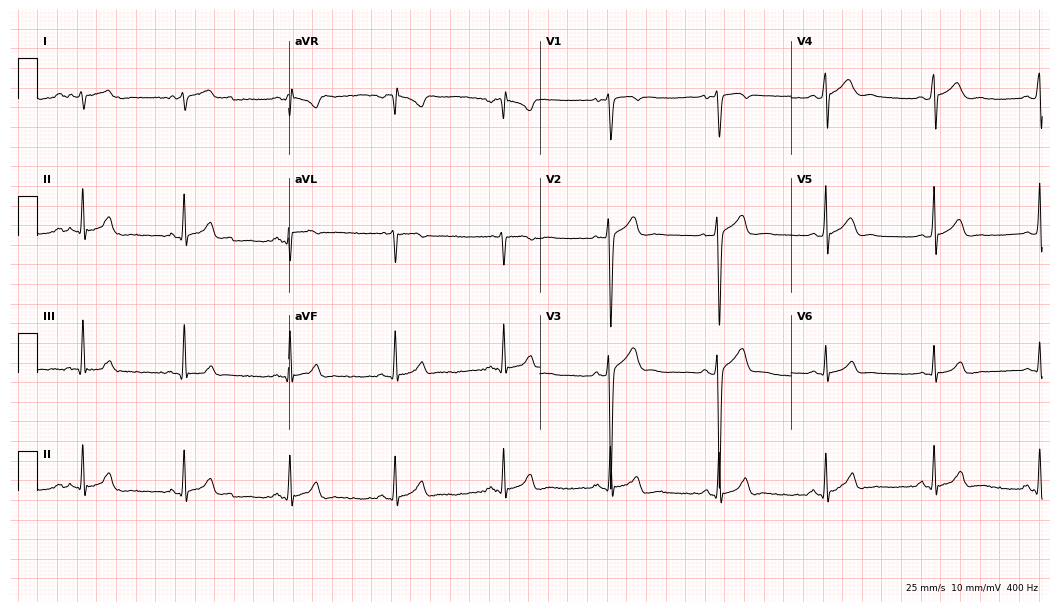
ECG (10.2-second recording at 400 Hz) — a male, 18 years old. Labelled as a normal ECG.